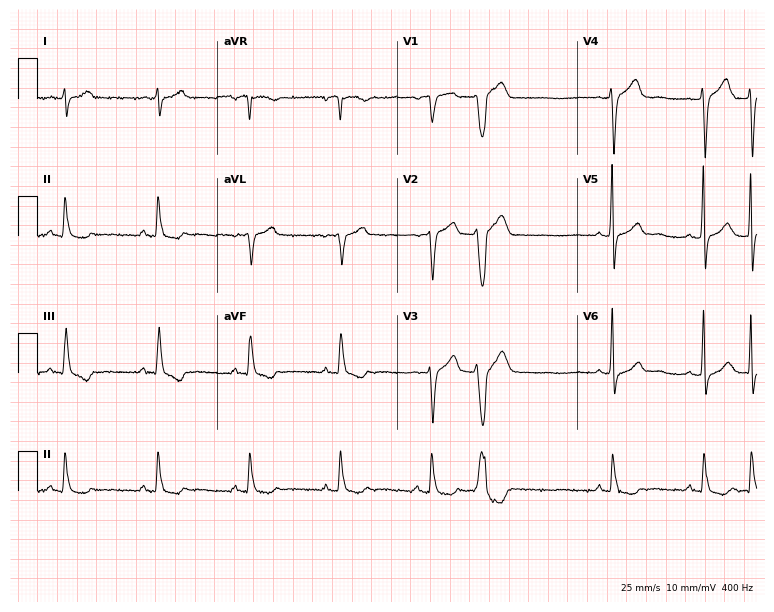
ECG — a 77-year-old male. Screened for six findings — first-degree AV block, right bundle branch block (RBBB), left bundle branch block (LBBB), sinus bradycardia, atrial fibrillation (AF), sinus tachycardia — none is recorded. Other findings, if any, are not listed.